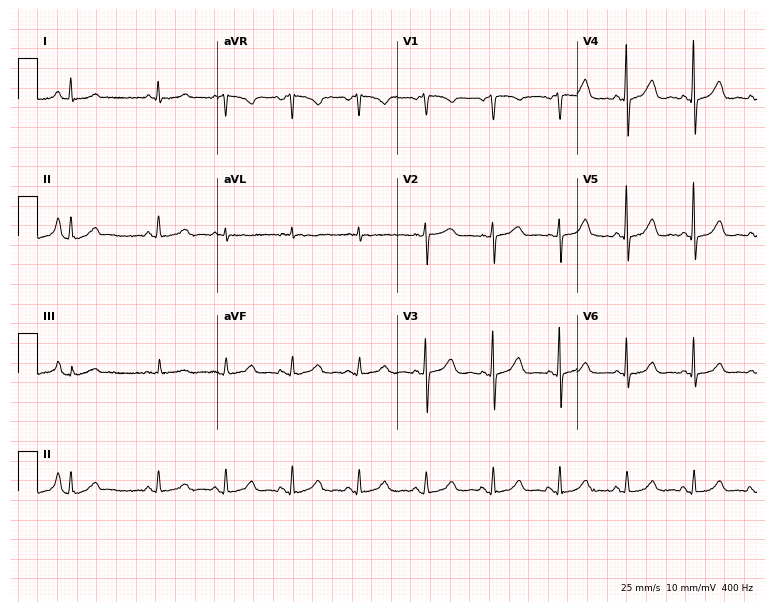
Electrocardiogram (7.3-second recording at 400 Hz), a female patient, 79 years old. Of the six screened findings (first-degree AV block, right bundle branch block, left bundle branch block, sinus bradycardia, atrial fibrillation, sinus tachycardia), none is recorded.